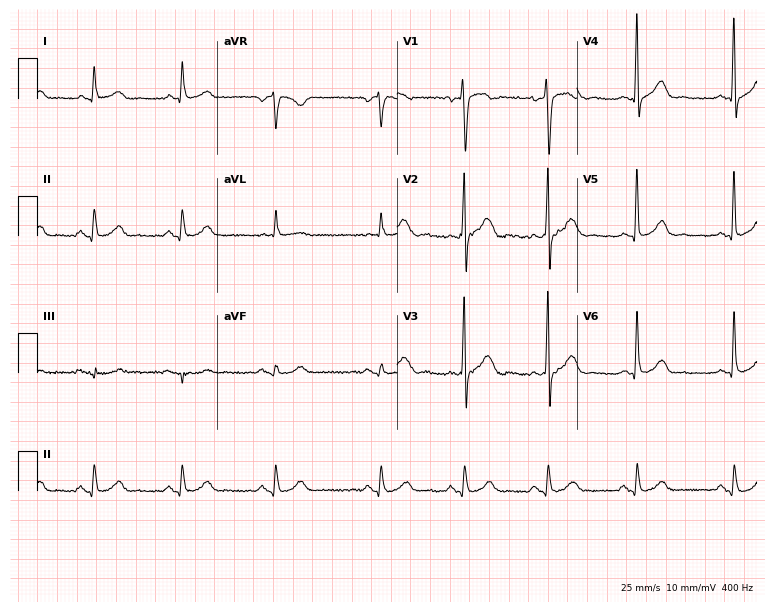
Electrocardiogram (7.3-second recording at 400 Hz), a male, 61 years old. Overall reading on record: normal ECG.